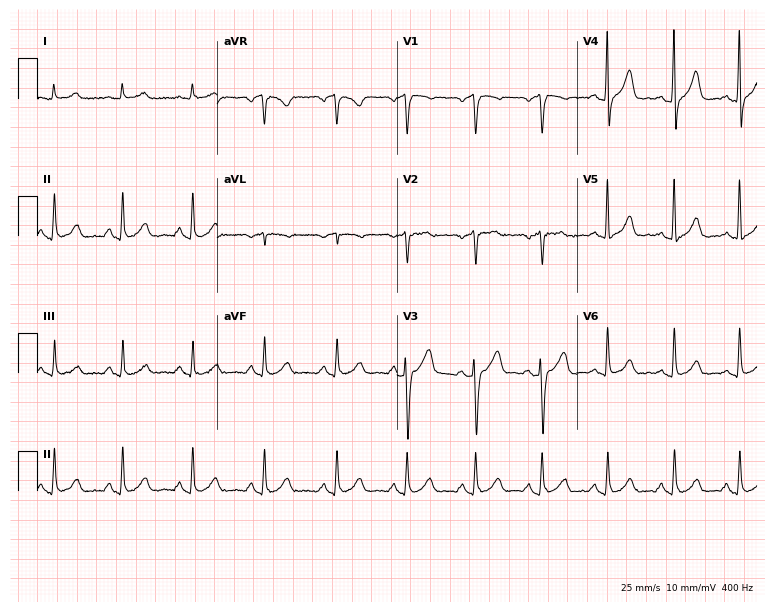
Standard 12-lead ECG recorded from a 46-year-old male patient (7.3-second recording at 400 Hz). Read as a normal ECG.